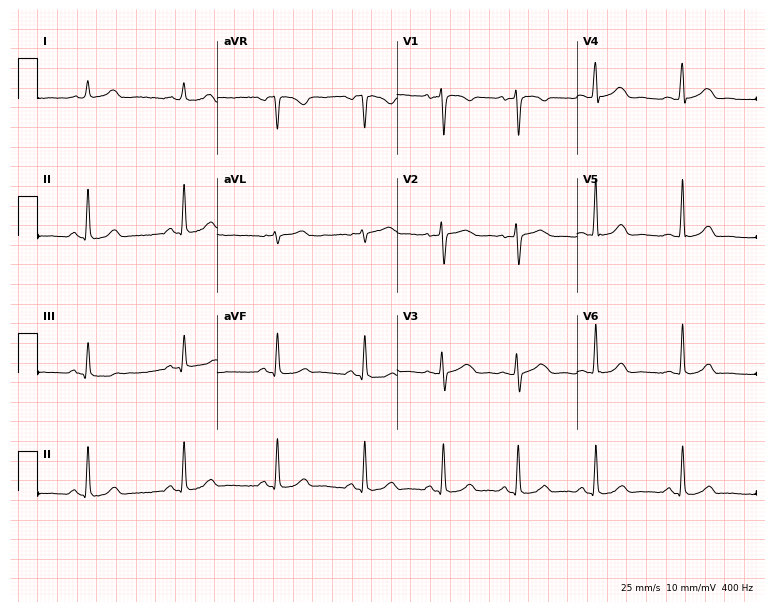
Electrocardiogram, a 30-year-old female patient. Of the six screened findings (first-degree AV block, right bundle branch block, left bundle branch block, sinus bradycardia, atrial fibrillation, sinus tachycardia), none is recorded.